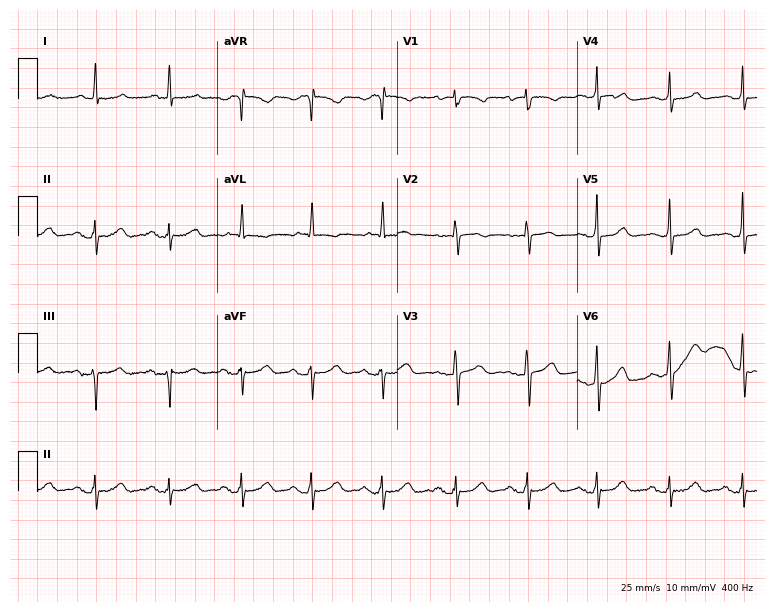
12-lead ECG from an 80-year-old female. Screened for six findings — first-degree AV block, right bundle branch block, left bundle branch block, sinus bradycardia, atrial fibrillation, sinus tachycardia — none is recorded. Other findings, if any, are not listed.